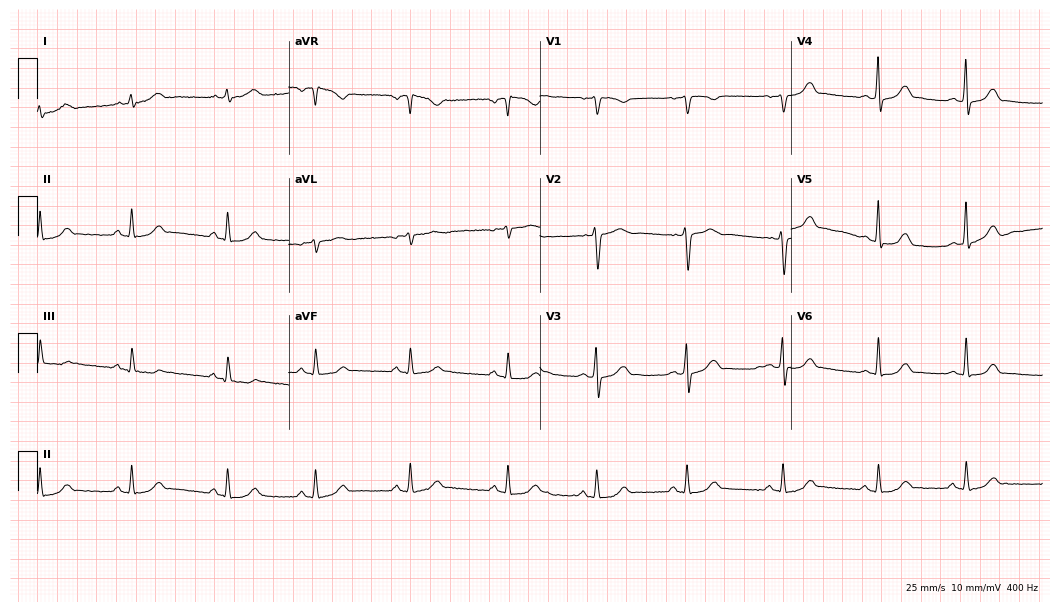
Resting 12-lead electrocardiogram (10.2-second recording at 400 Hz). Patient: a 39-year-old female. Read as a normal ECG.